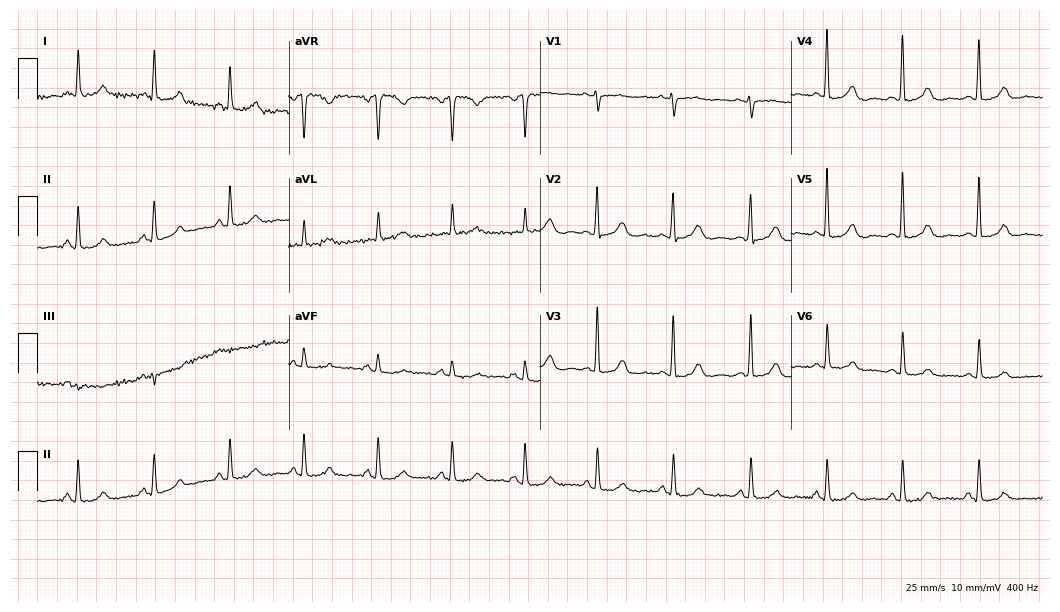
12-lead ECG from a 64-year-old female. Screened for six findings — first-degree AV block, right bundle branch block, left bundle branch block, sinus bradycardia, atrial fibrillation, sinus tachycardia — none is recorded. Findings outside these six are not listed.